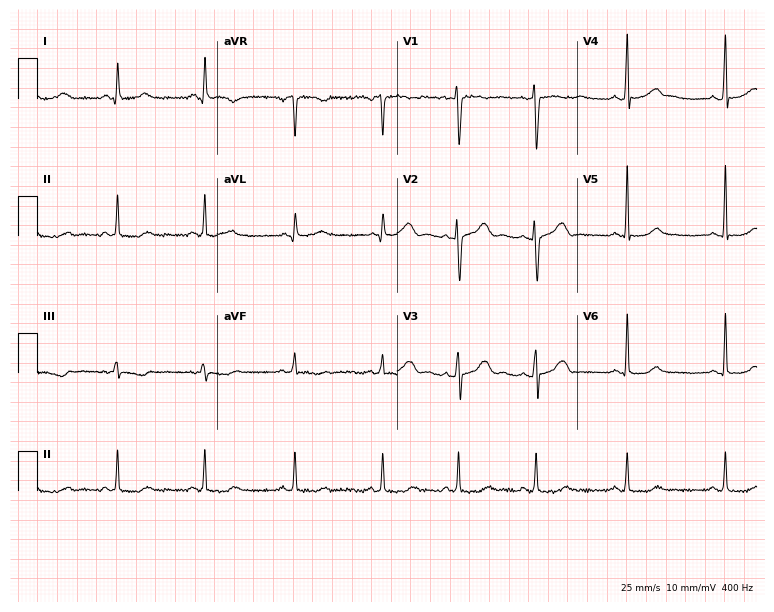
Resting 12-lead electrocardiogram (7.3-second recording at 400 Hz). Patient: a female, 22 years old. None of these six findings is recorded: first-degree AV block, right bundle branch block (RBBB), left bundle branch block (LBBB), sinus bradycardia, atrial fibrillation (AF), sinus tachycardia. Other findings, if any, are not listed.